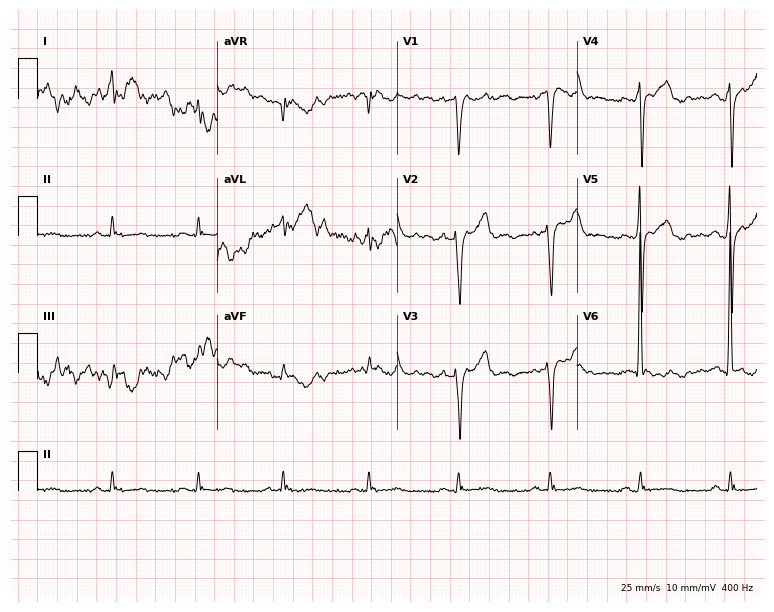
12-lead ECG (7.3-second recording at 400 Hz) from a man, 67 years old. Screened for six findings — first-degree AV block, right bundle branch block, left bundle branch block, sinus bradycardia, atrial fibrillation, sinus tachycardia — none is recorded. Other findings, if any, are not listed.